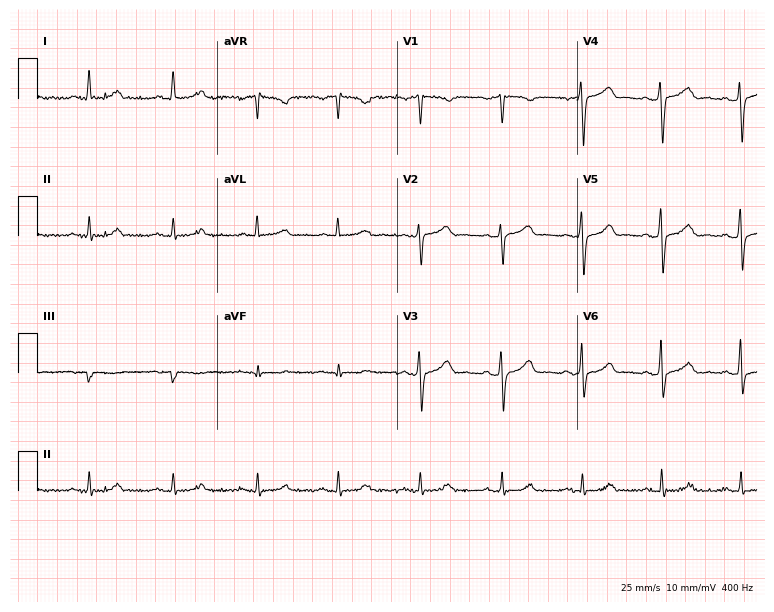
Resting 12-lead electrocardiogram. Patient: a 51-year-old male. None of these six findings is recorded: first-degree AV block, right bundle branch block, left bundle branch block, sinus bradycardia, atrial fibrillation, sinus tachycardia. Only these six findings were labelled.